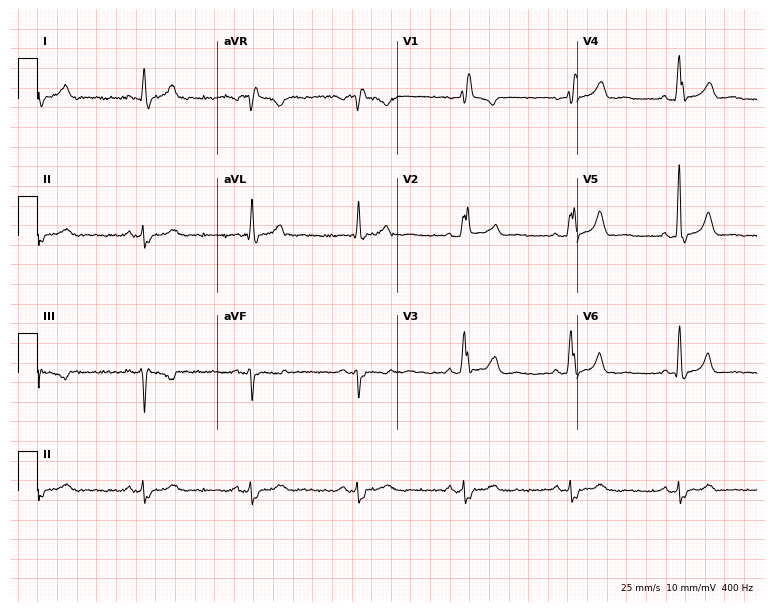
ECG (7.3-second recording at 400 Hz) — a 71-year-old male. Findings include right bundle branch block (RBBB).